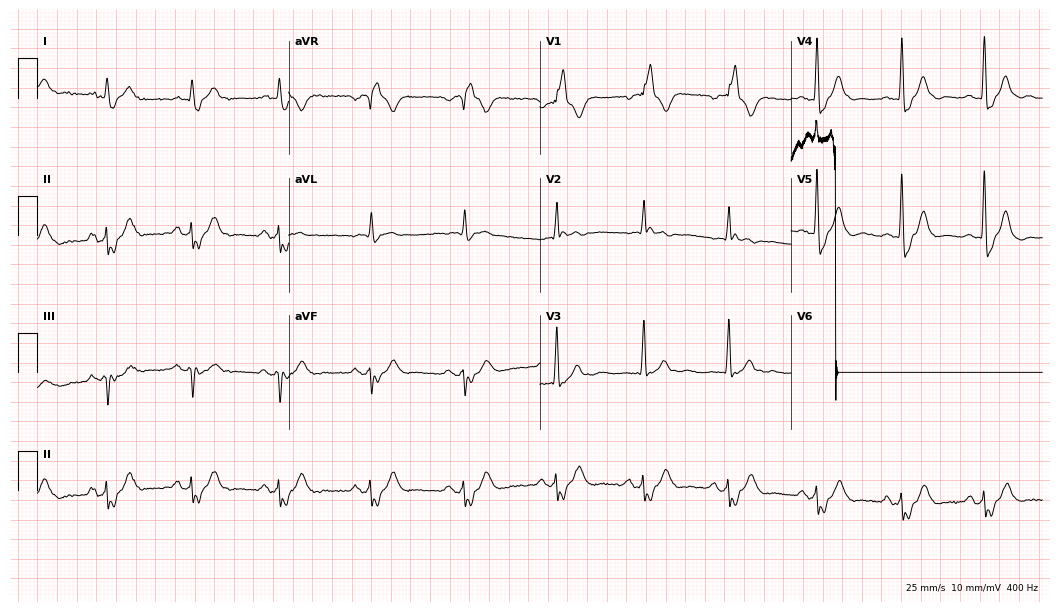
ECG (10.2-second recording at 400 Hz) — a male patient, 85 years old. Findings include right bundle branch block (RBBB).